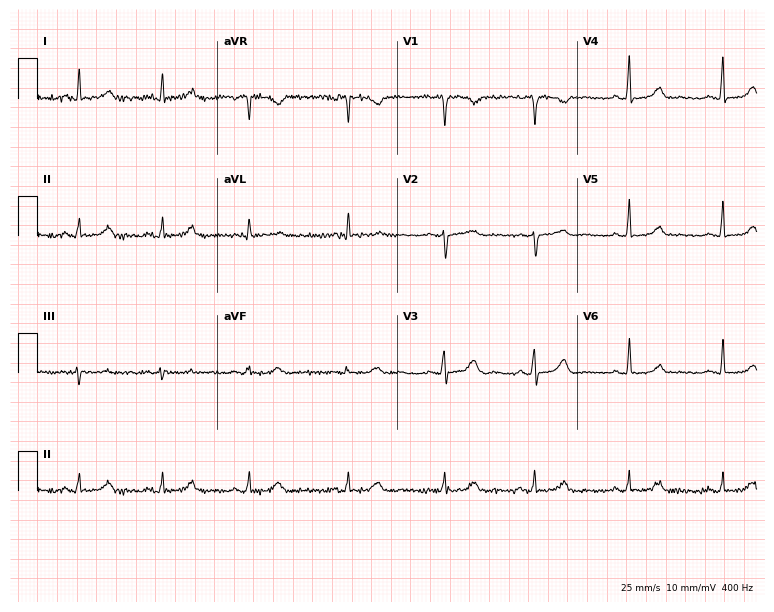
ECG — a female patient, 39 years old. Labelled as a normal ECG.